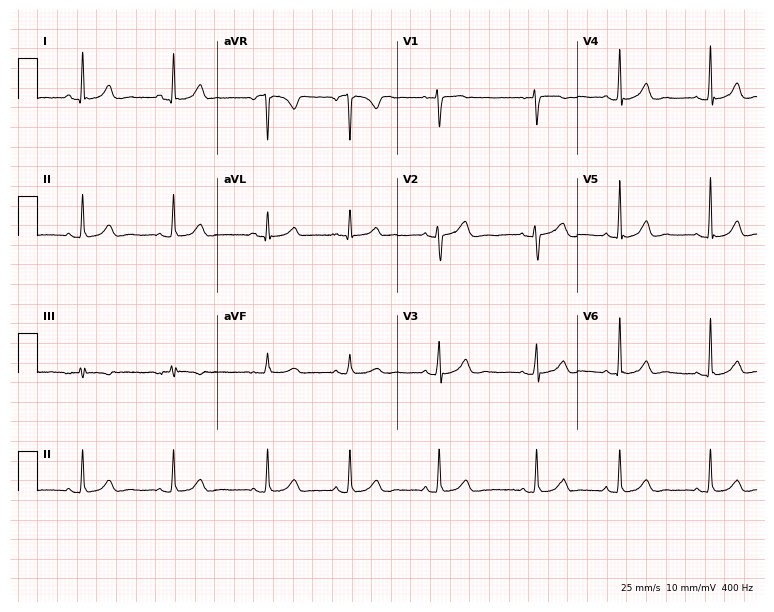
12-lead ECG from a 27-year-old female patient (7.3-second recording at 400 Hz). Recorded interpretation: within normal limits.